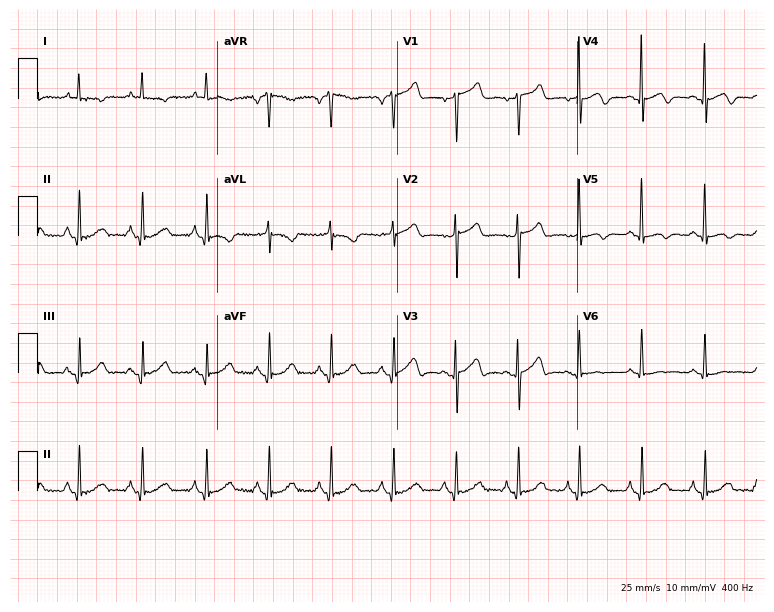
Resting 12-lead electrocardiogram (7.3-second recording at 400 Hz). Patient: a woman, 77 years old. None of these six findings is recorded: first-degree AV block, right bundle branch block, left bundle branch block, sinus bradycardia, atrial fibrillation, sinus tachycardia. Other findings, if any, are not listed.